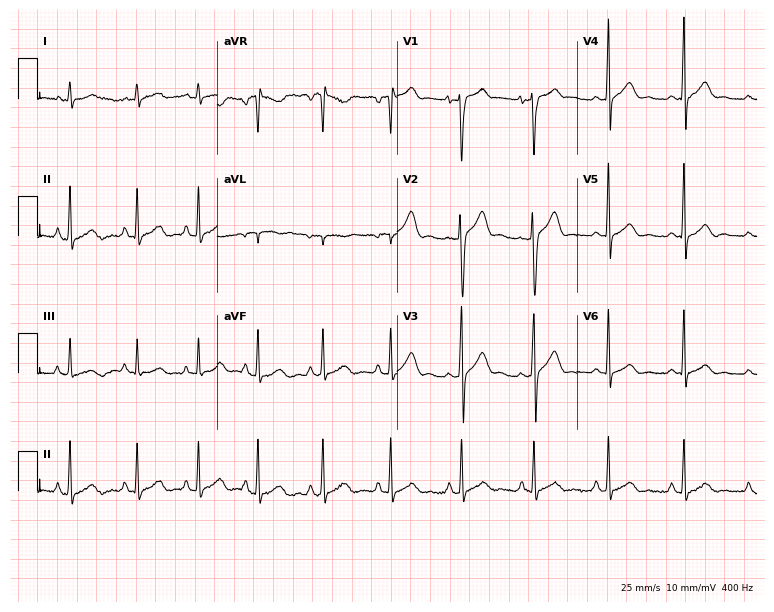
Standard 12-lead ECG recorded from an 18-year-old male patient (7.3-second recording at 400 Hz). None of these six findings is recorded: first-degree AV block, right bundle branch block, left bundle branch block, sinus bradycardia, atrial fibrillation, sinus tachycardia. Findings outside these six are not listed.